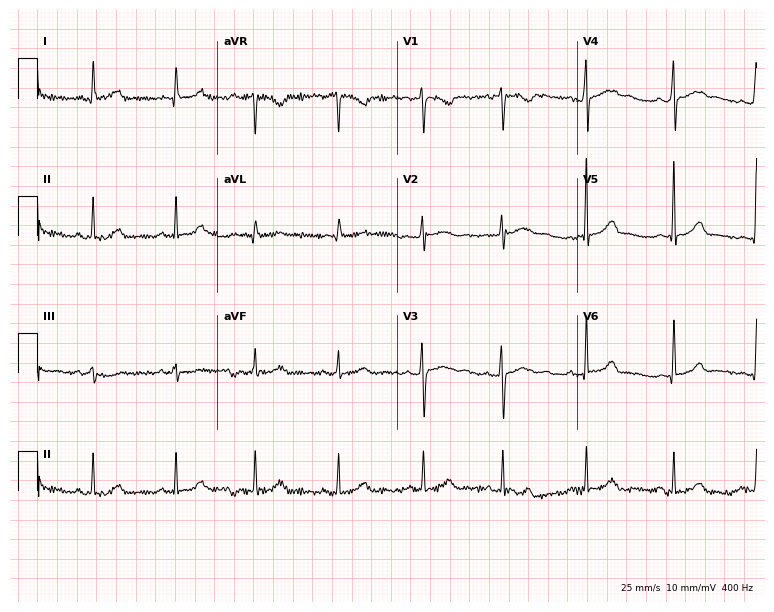
ECG (7.3-second recording at 400 Hz) — a female, 25 years old. Screened for six findings — first-degree AV block, right bundle branch block, left bundle branch block, sinus bradycardia, atrial fibrillation, sinus tachycardia — none is recorded.